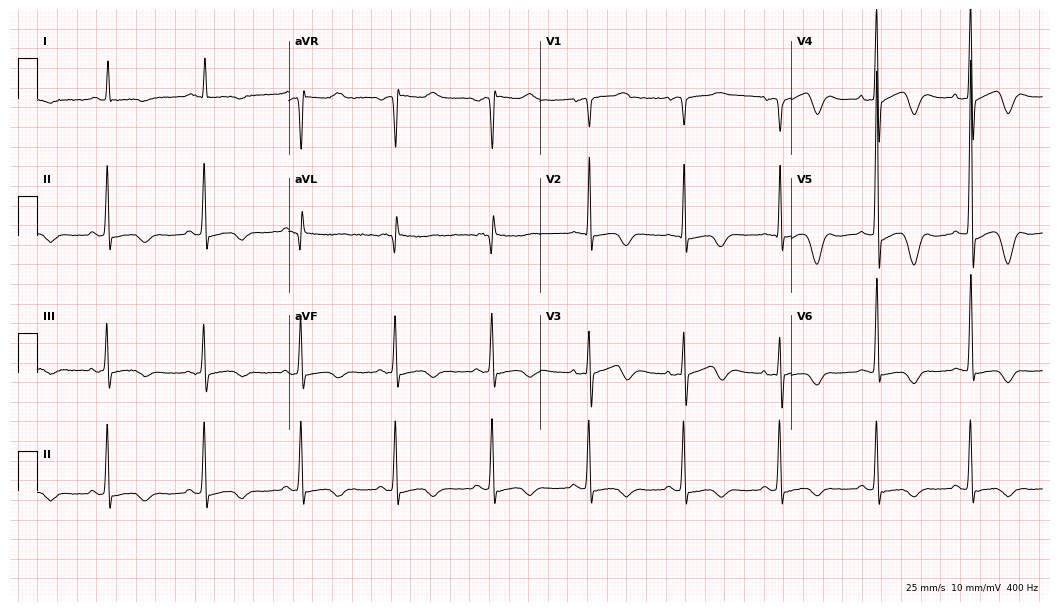
12-lead ECG (10.2-second recording at 400 Hz) from an 83-year-old woman. Screened for six findings — first-degree AV block, right bundle branch block, left bundle branch block, sinus bradycardia, atrial fibrillation, sinus tachycardia — none is recorded. Findings outside these six are not listed.